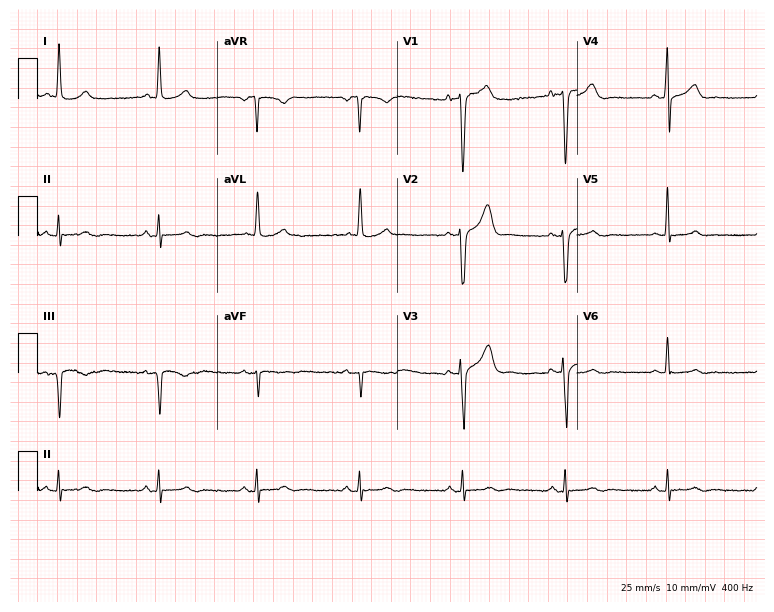
Standard 12-lead ECG recorded from a 43-year-old male patient. None of these six findings is recorded: first-degree AV block, right bundle branch block (RBBB), left bundle branch block (LBBB), sinus bradycardia, atrial fibrillation (AF), sinus tachycardia. Findings outside these six are not listed.